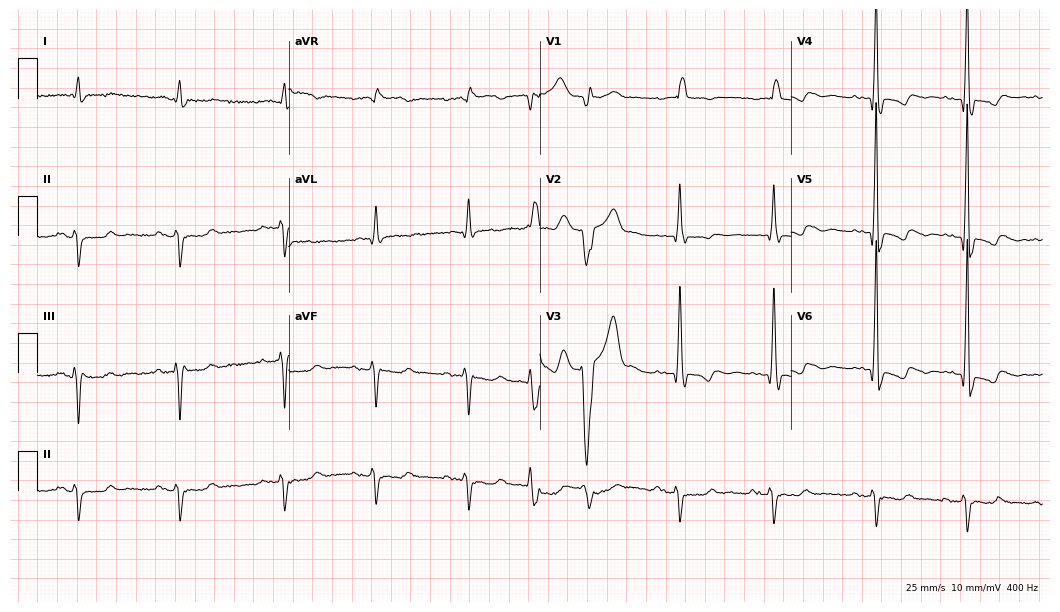
Electrocardiogram (10.2-second recording at 400 Hz), a male, 84 years old. Interpretation includes right bundle branch block.